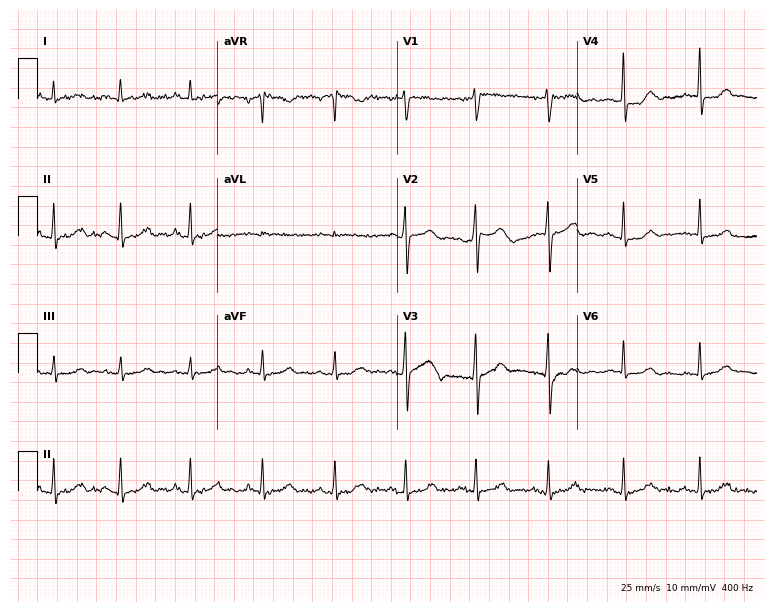
Standard 12-lead ECG recorded from a woman, 37 years old. None of these six findings is recorded: first-degree AV block, right bundle branch block, left bundle branch block, sinus bradycardia, atrial fibrillation, sinus tachycardia.